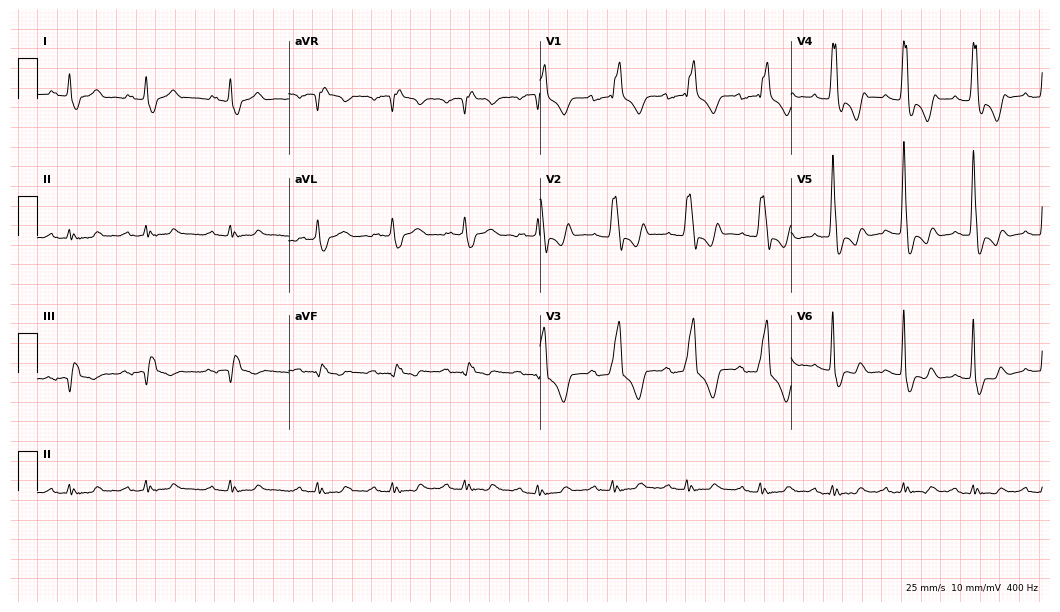
Electrocardiogram (10.2-second recording at 400 Hz), a male patient, 67 years old. Interpretation includes first-degree AV block, right bundle branch block.